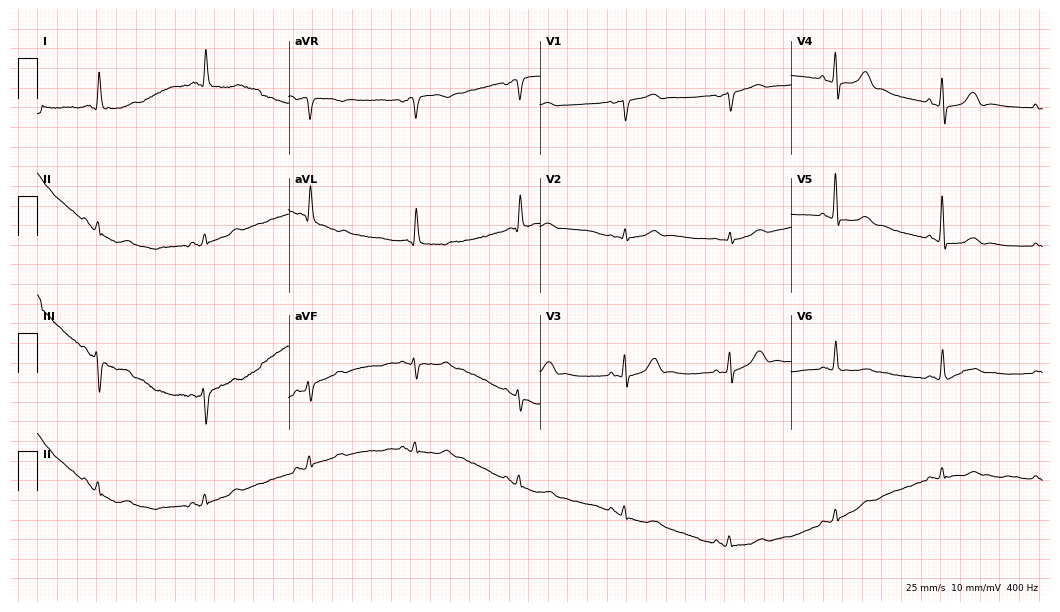
Electrocardiogram (10.2-second recording at 400 Hz), a woman, 78 years old. Overall reading on record: normal ECG.